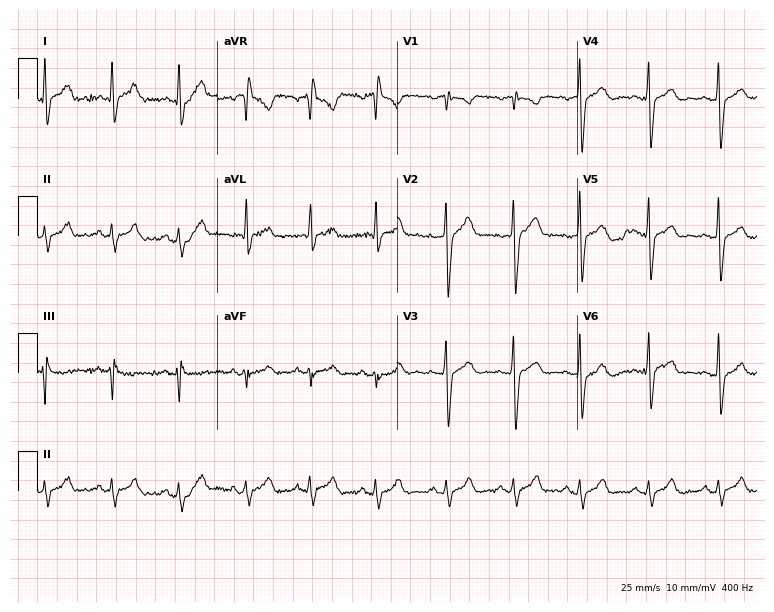
Standard 12-lead ECG recorded from a 38-year-old male patient (7.3-second recording at 400 Hz). None of these six findings is recorded: first-degree AV block, right bundle branch block (RBBB), left bundle branch block (LBBB), sinus bradycardia, atrial fibrillation (AF), sinus tachycardia. Findings outside these six are not listed.